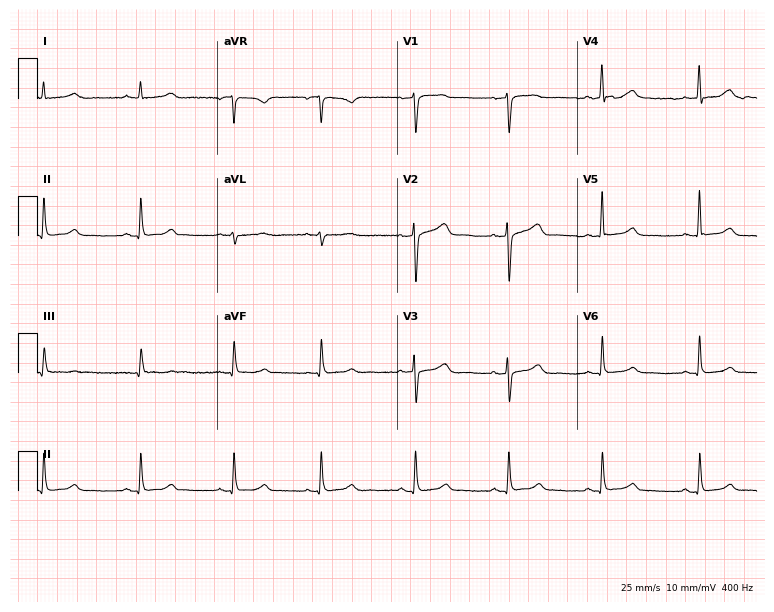
ECG — a 66-year-old female patient. Labelled as a normal ECG.